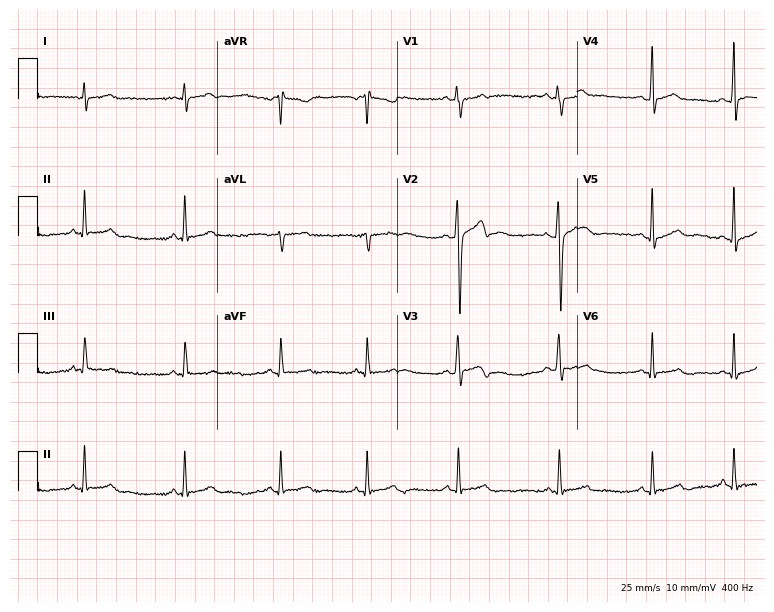
12-lead ECG from a man, 18 years old (7.3-second recording at 400 Hz). Recorded interpretation: within normal limits.